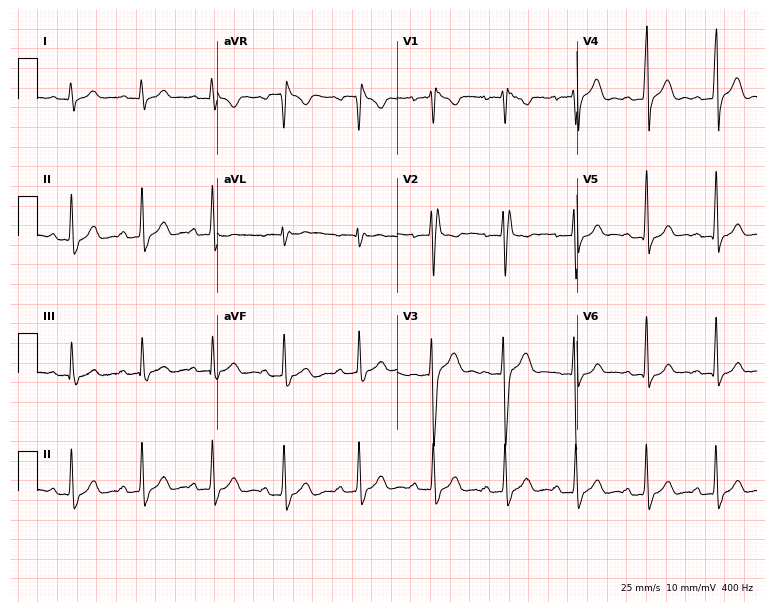
Standard 12-lead ECG recorded from a 21-year-old male (7.3-second recording at 400 Hz). None of these six findings is recorded: first-degree AV block, right bundle branch block (RBBB), left bundle branch block (LBBB), sinus bradycardia, atrial fibrillation (AF), sinus tachycardia.